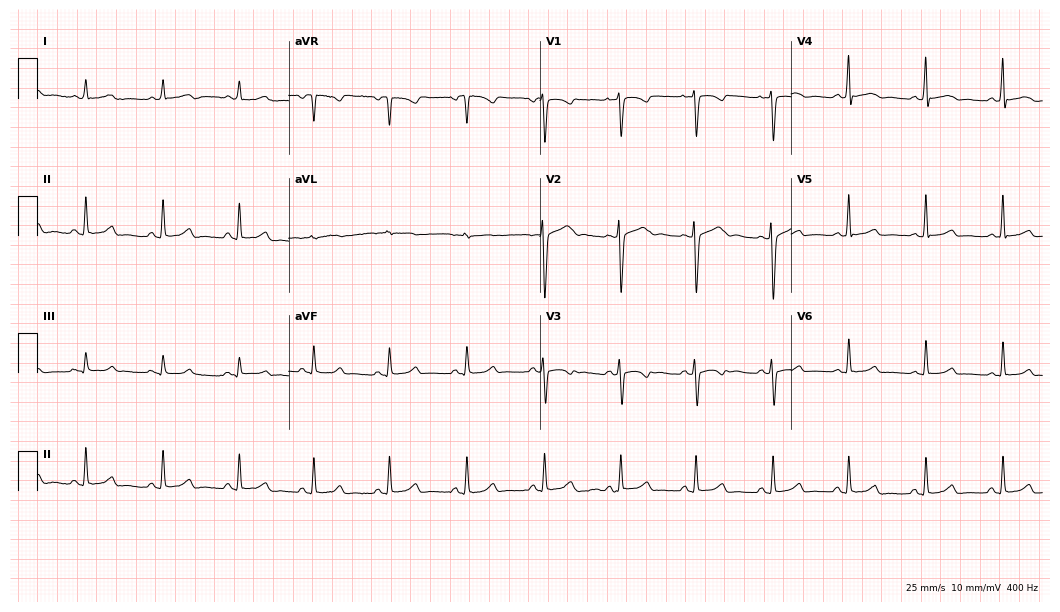
12-lead ECG from a 27-year-old female patient. Labelled as a normal ECG.